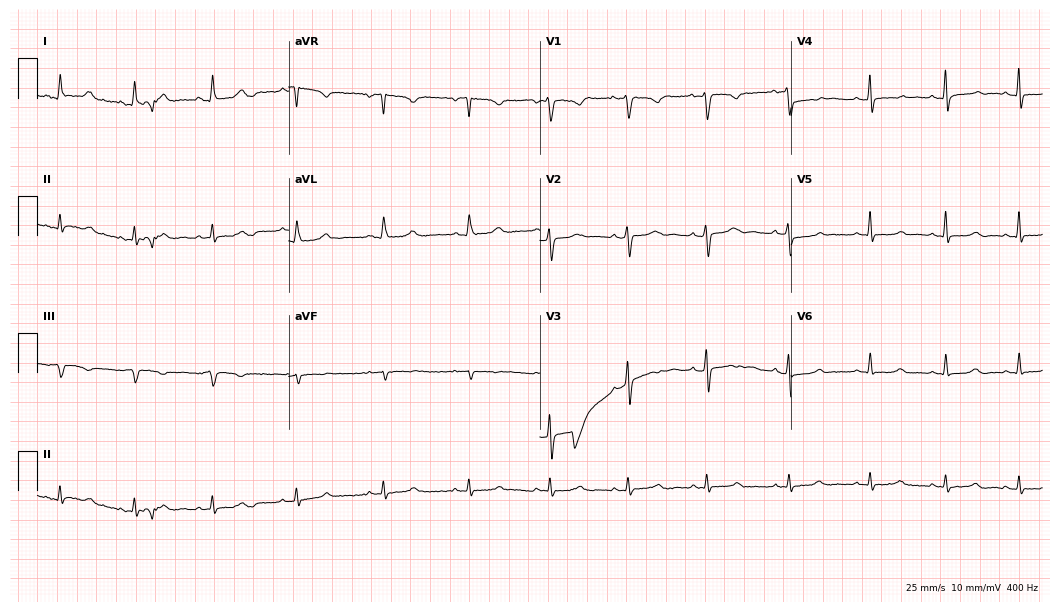
Resting 12-lead electrocardiogram. Patient: a 34-year-old female. None of these six findings is recorded: first-degree AV block, right bundle branch block, left bundle branch block, sinus bradycardia, atrial fibrillation, sinus tachycardia.